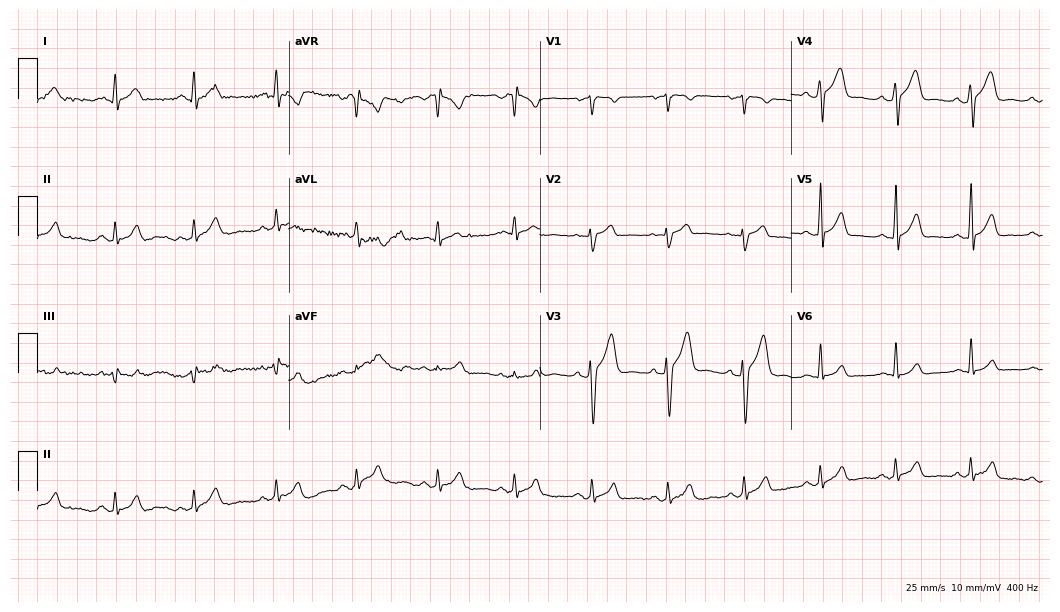
12-lead ECG from a 26-year-old male patient (10.2-second recording at 400 Hz). No first-degree AV block, right bundle branch block, left bundle branch block, sinus bradycardia, atrial fibrillation or sinus tachycardia recorded for this tracing.